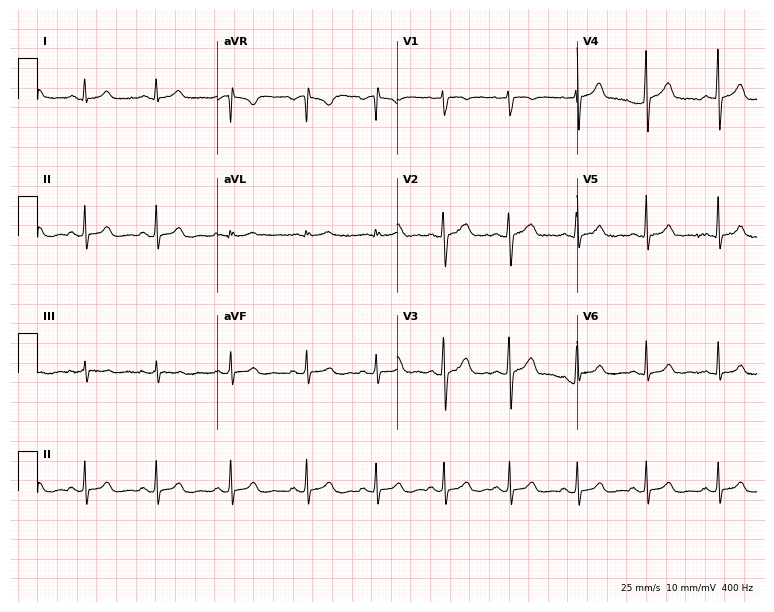
12-lead ECG (7.3-second recording at 400 Hz) from a woman, 20 years old. Labelled as a normal ECG.